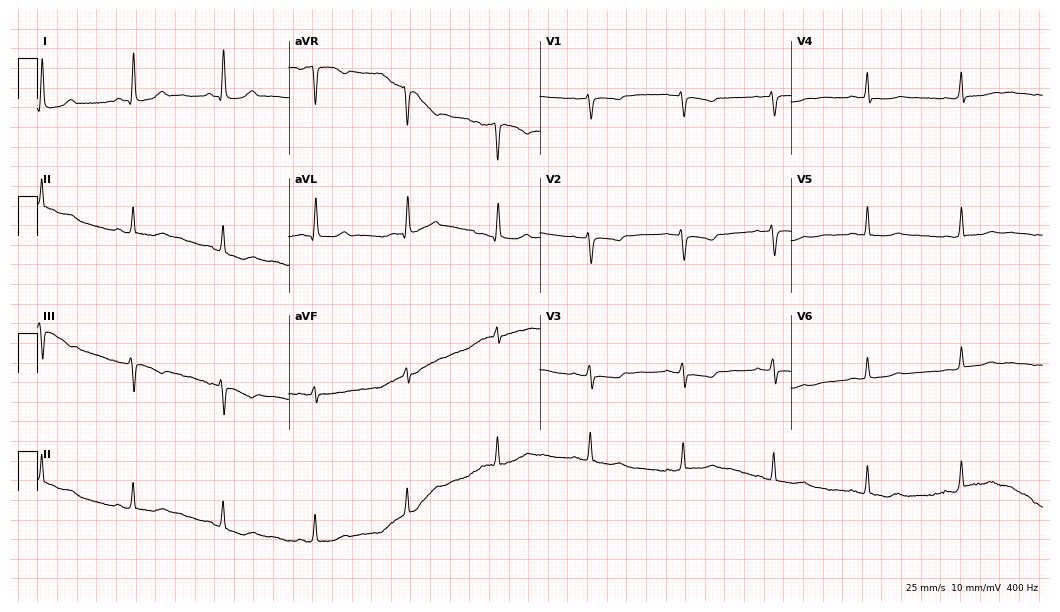
Resting 12-lead electrocardiogram. Patient: a 62-year-old woman. None of these six findings is recorded: first-degree AV block, right bundle branch block (RBBB), left bundle branch block (LBBB), sinus bradycardia, atrial fibrillation (AF), sinus tachycardia.